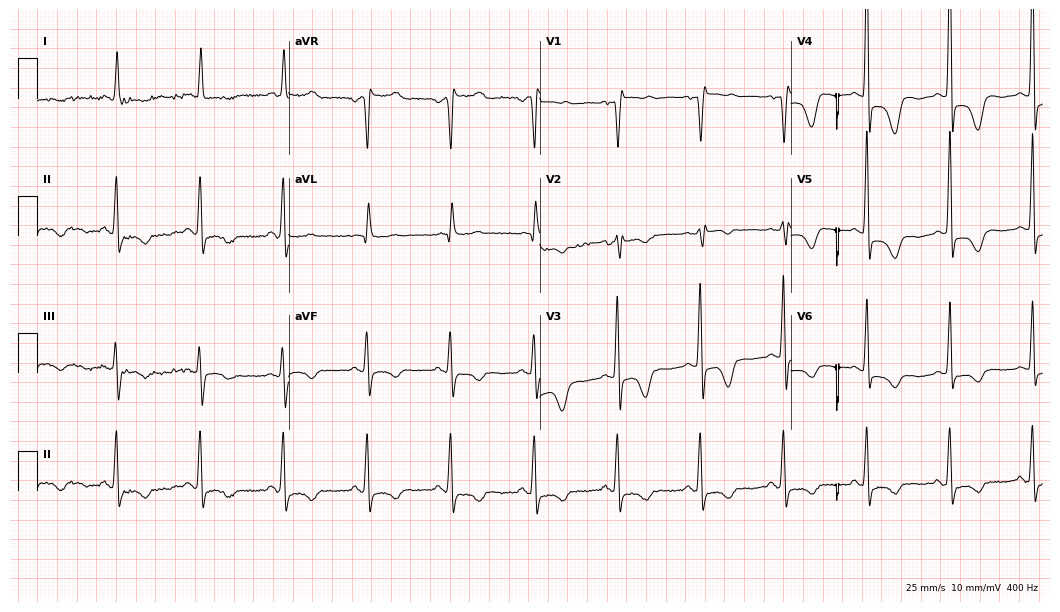
Standard 12-lead ECG recorded from a woman, 69 years old (10.2-second recording at 400 Hz). None of these six findings is recorded: first-degree AV block, right bundle branch block, left bundle branch block, sinus bradycardia, atrial fibrillation, sinus tachycardia. Other findings, if any, are not listed.